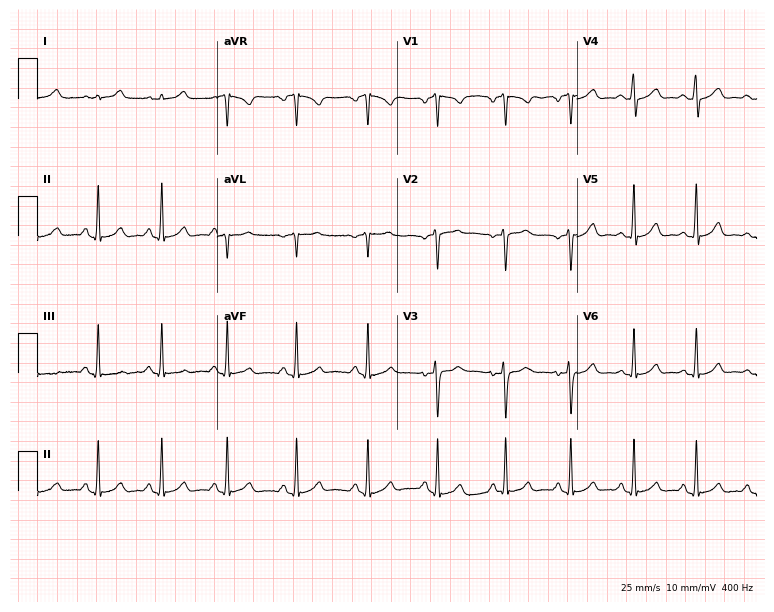
12-lead ECG from an 18-year-old female patient. Recorded interpretation: within normal limits.